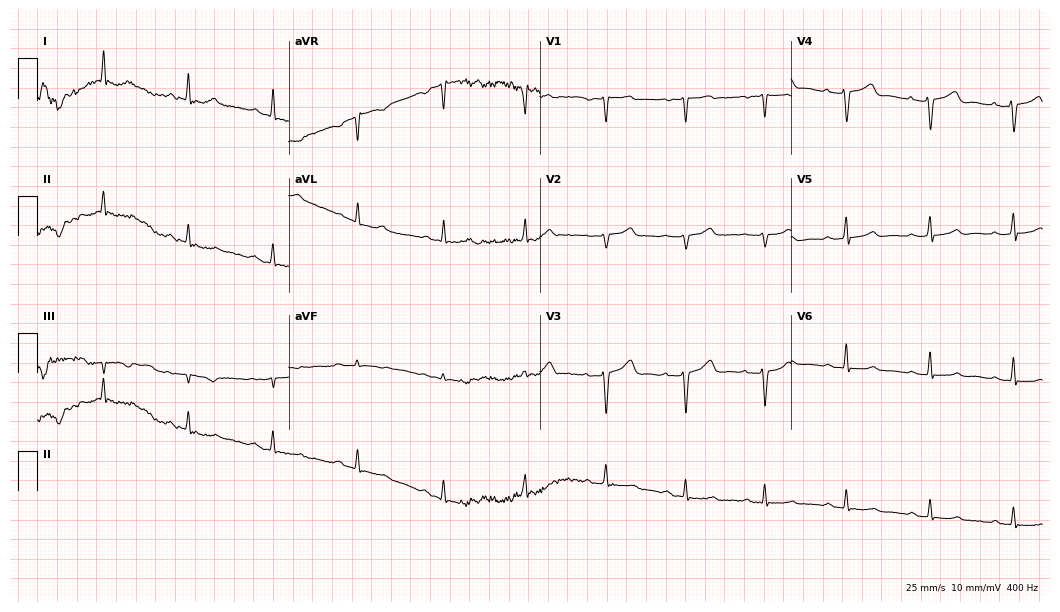
ECG (10.2-second recording at 400 Hz) — a 43-year-old female patient. Screened for six findings — first-degree AV block, right bundle branch block (RBBB), left bundle branch block (LBBB), sinus bradycardia, atrial fibrillation (AF), sinus tachycardia — none is recorded. Findings outside these six are not listed.